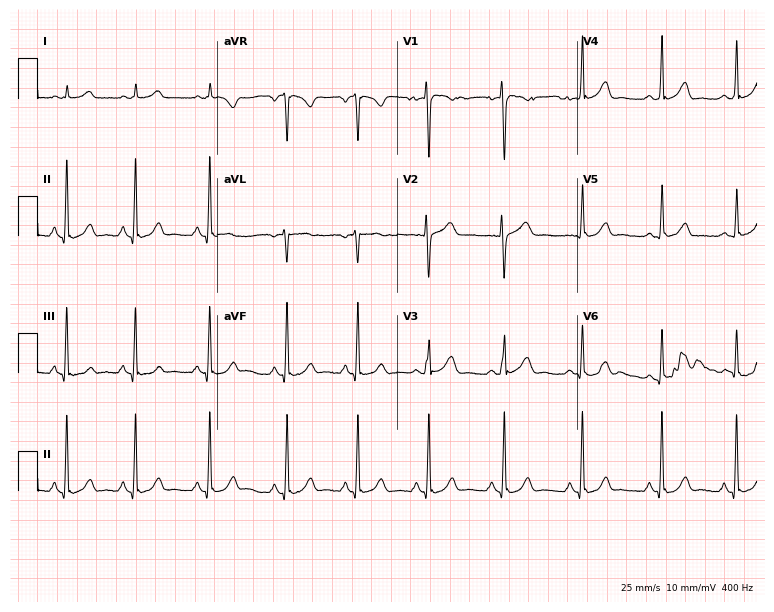
ECG (7.3-second recording at 400 Hz) — a 24-year-old female. Labelled as a normal ECG.